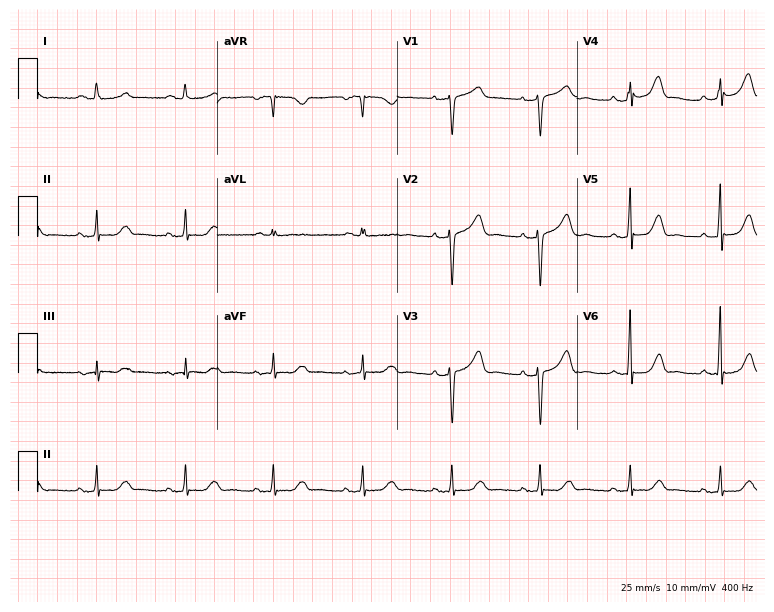
12-lead ECG from a man, 58 years old (7.3-second recording at 400 Hz). No first-degree AV block, right bundle branch block, left bundle branch block, sinus bradycardia, atrial fibrillation or sinus tachycardia recorded for this tracing. Findings outside these six are not listed.